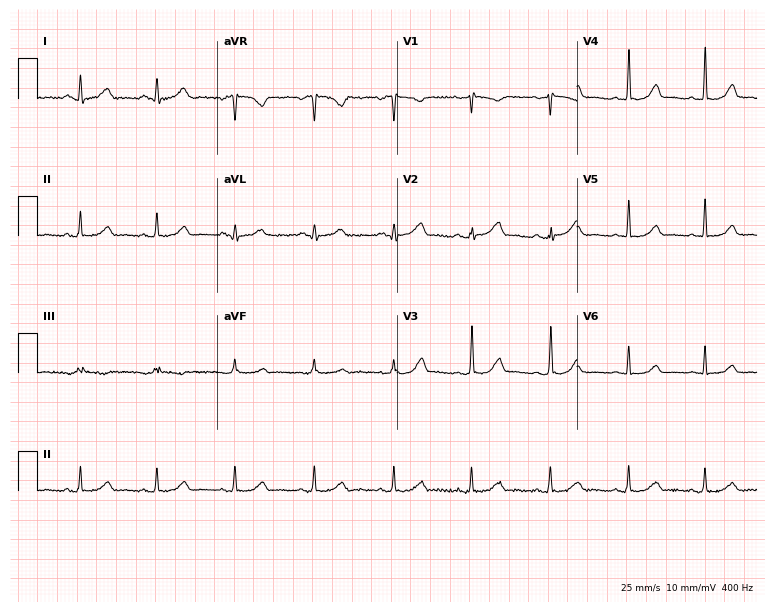
Electrocardiogram (7.3-second recording at 400 Hz), a 51-year-old female. Overall reading on record: normal ECG.